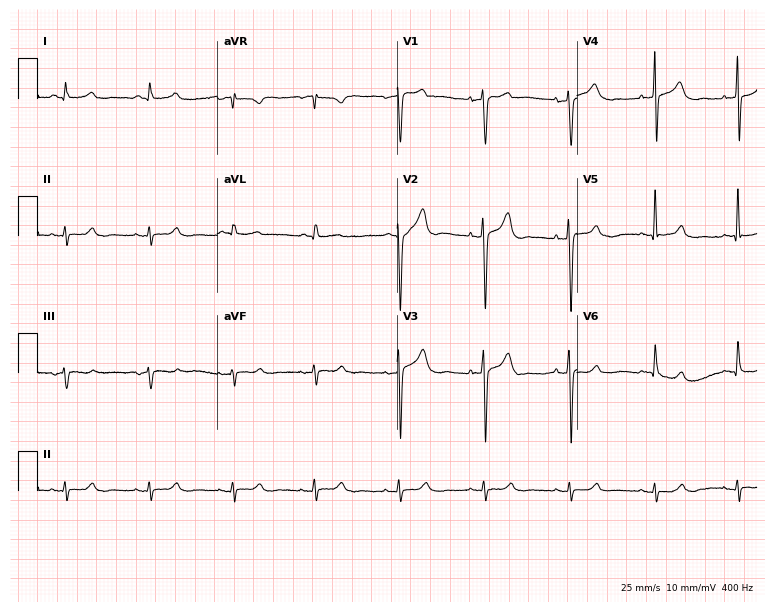
12-lead ECG (7.3-second recording at 400 Hz) from a 59-year-old male patient. Screened for six findings — first-degree AV block, right bundle branch block (RBBB), left bundle branch block (LBBB), sinus bradycardia, atrial fibrillation (AF), sinus tachycardia — none is recorded. Other findings, if any, are not listed.